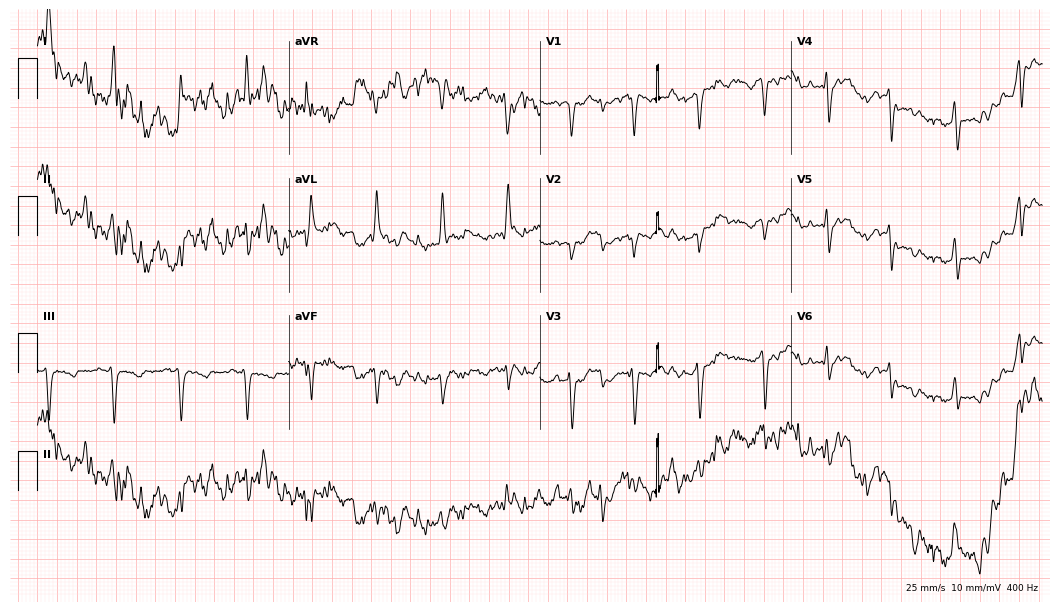
Standard 12-lead ECG recorded from a 51-year-old female patient (10.2-second recording at 400 Hz). None of these six findings is recorded: first-degree AV block, right bundle branch block, left bundle branch block, sinus bradycardia, atrial fibrillation, sinus tachycardia. Other findings, if any, are not listed.